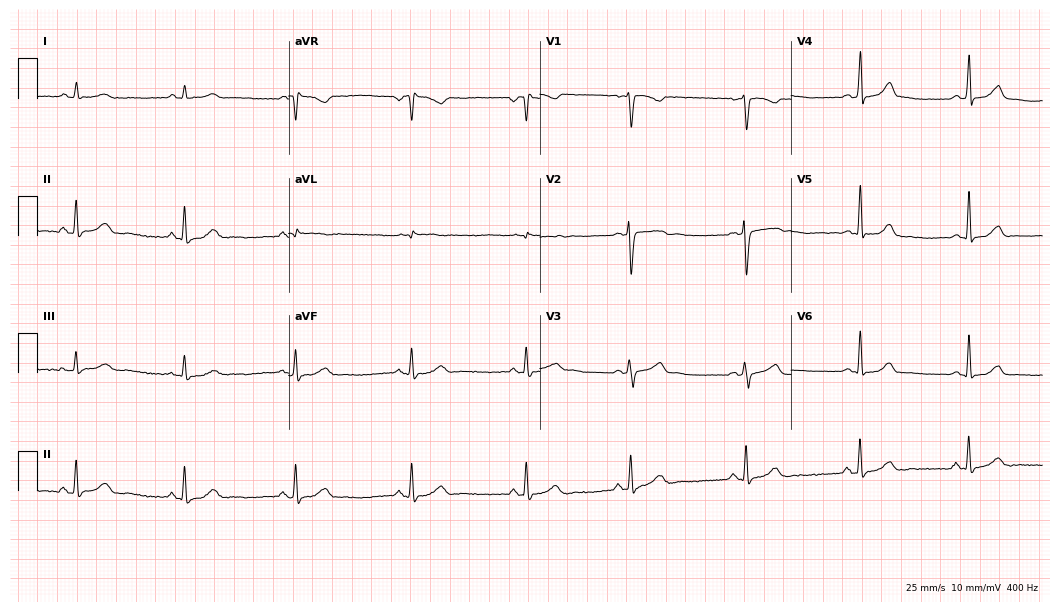
12-lead ECG from a 38-year-old female patient. Labelled as a normal ECG.